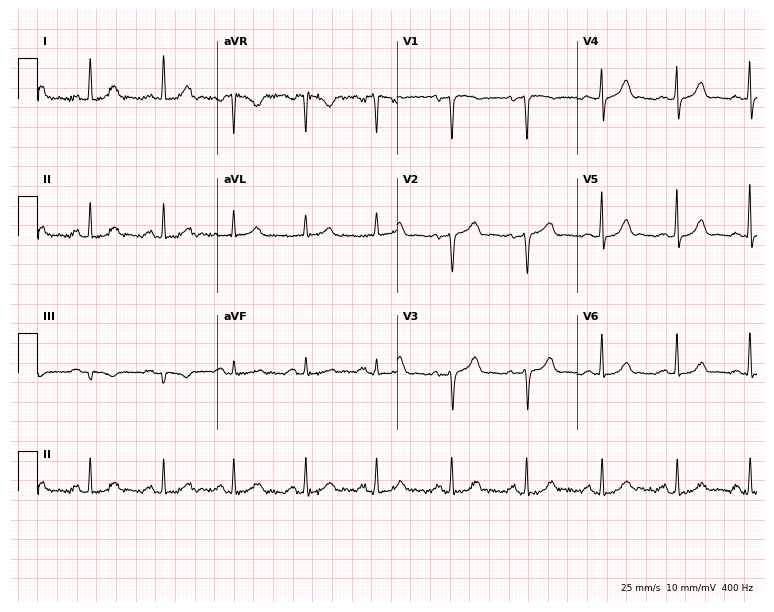
Standard 12-lead ECG recorded from a female, 59 years old (7.3-second recording at 400 Hz). Read as a normal ECG.